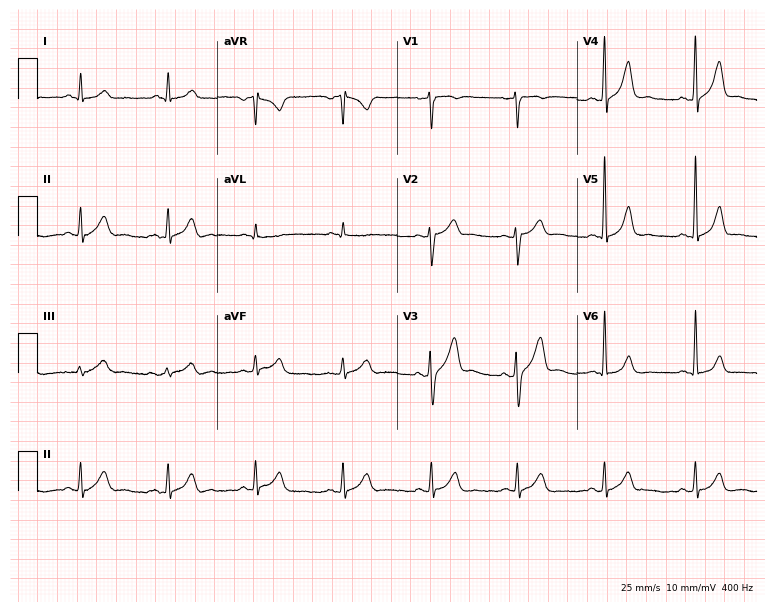
Electrocardiogram, a male patient, 50 years old. Overall reading on record: normal ECG.